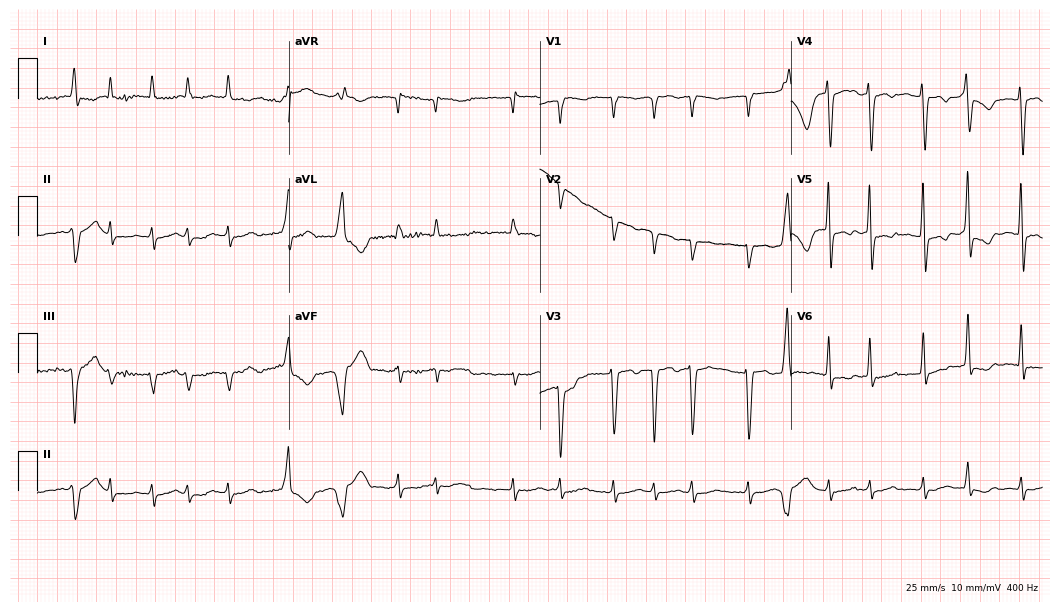
Electrocardiogram (10.2-second recording at 400 Hz), a 79-year-old man. Interpretation includes atrial fibrillation.